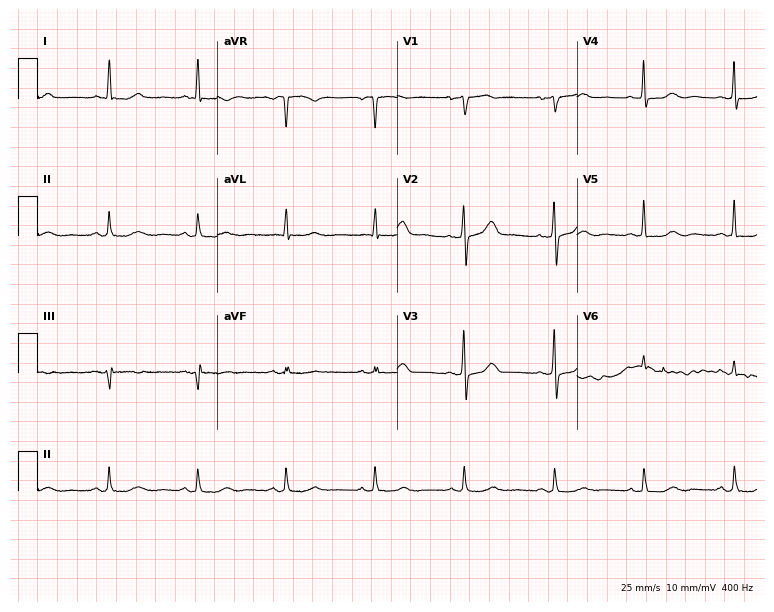
12-lead ECG from a 72-year-old female (7.3-second recording at 400 Hz). No first-degree AV block, right bundle branch block, left bundle branch block, sinus bradycardia, atrial fibrillation or sinus tachycardia recorded for this tracing. Findings outside these six are not listed.